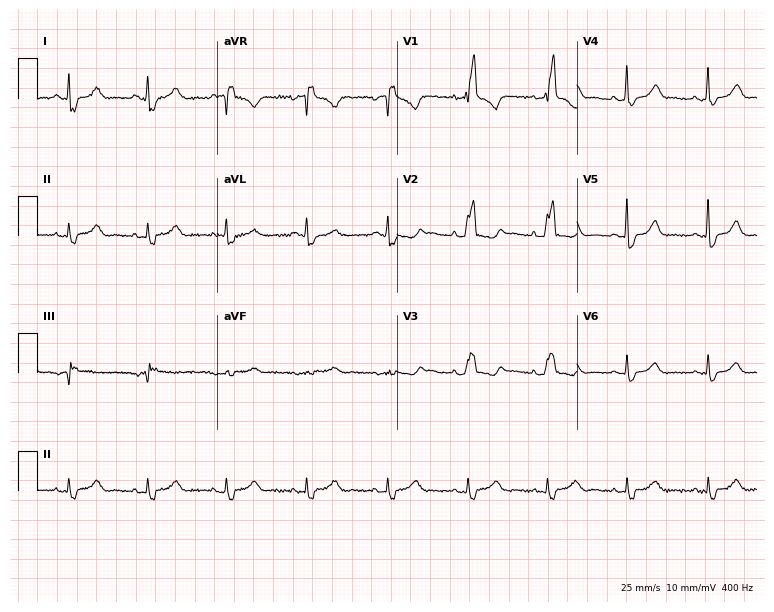
12-lead ECG from a female, 53 years old. Findings include right bundle branch block.